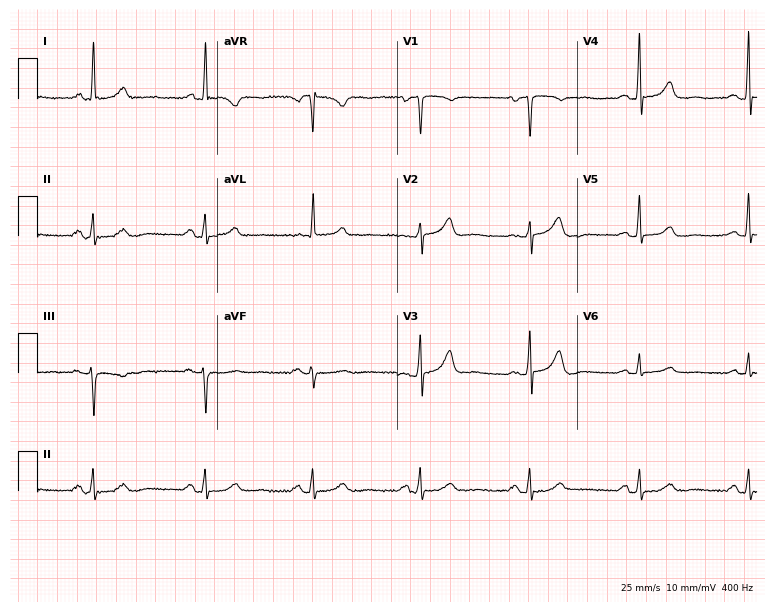
Resting 12-lead electrocardiogram (7.3-second recording at 400 Hz). Patient: a female, 67 years old. None of these six findings is recorded: first-degree AV block, right bundle branch block (RBBB), left bundle branch block (LBBB), sinus bradycardia, atrial fibrillation (AF), sinus tachycardia. Only these six findings were labelled.